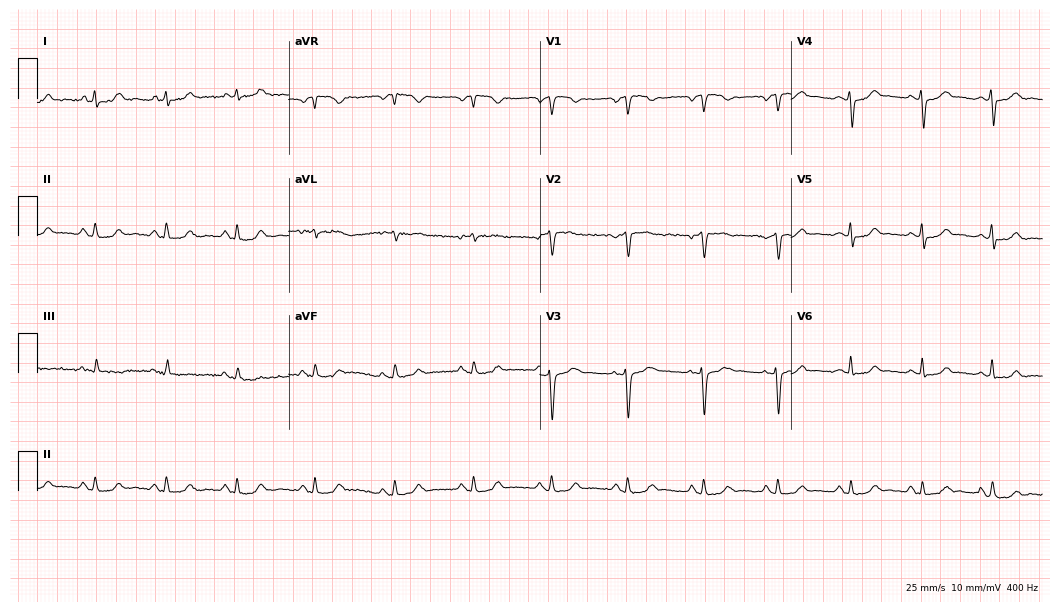
12-lead ECG from a woman, 49 years old. Screened for six findings — first-degree AV block, right bundle branch block (RBBB), left bundle branch block (LBBB), sinus bradycardia, atrial fibrillation (AF), sinus tachycardia — none is recorded.